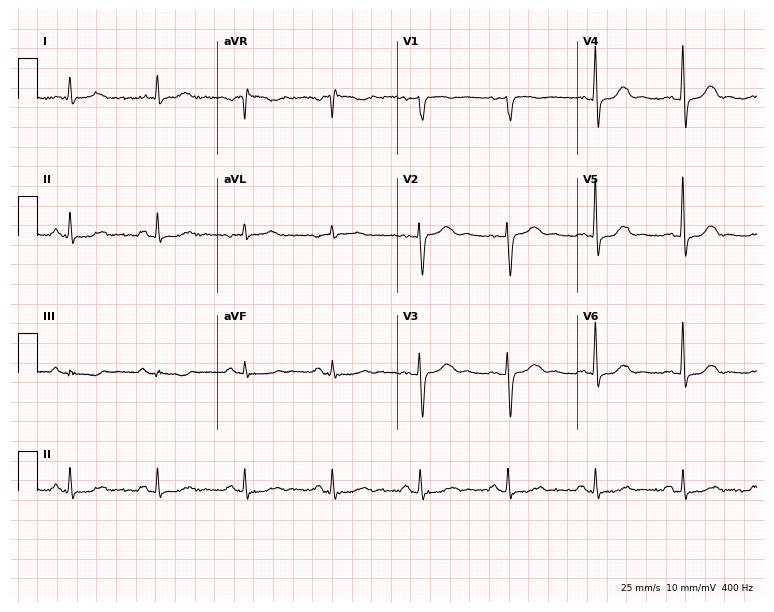
Standard 12-lead ECG recorded from a female, 57 years old (7.3-second recording at 400 Hz). Read as a normal ECG.